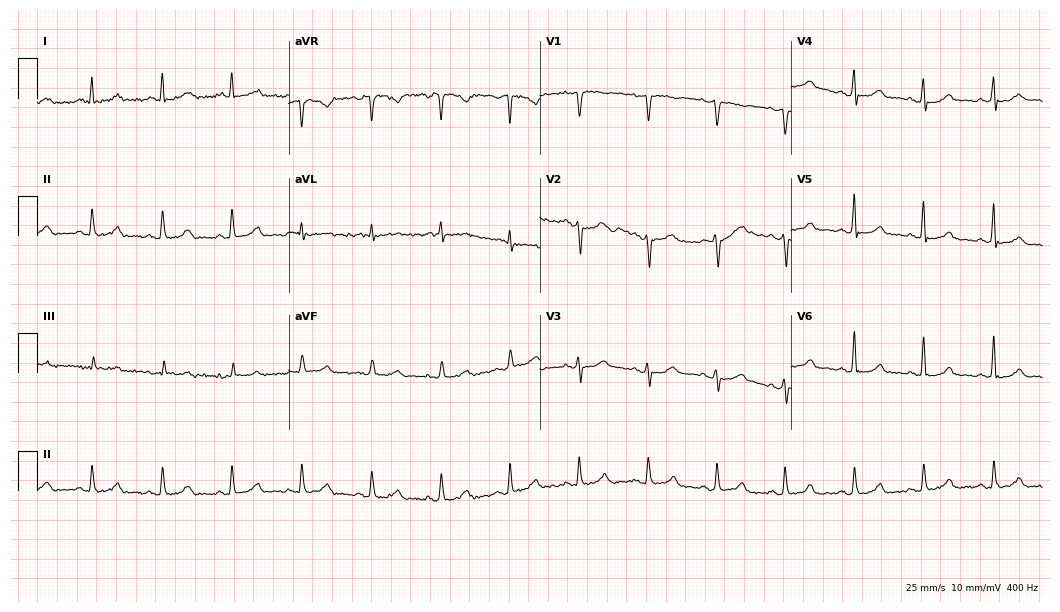
Resting 12-lead electrocardiogram. Patient: a female, 49 years old. Read as a normal ECG.